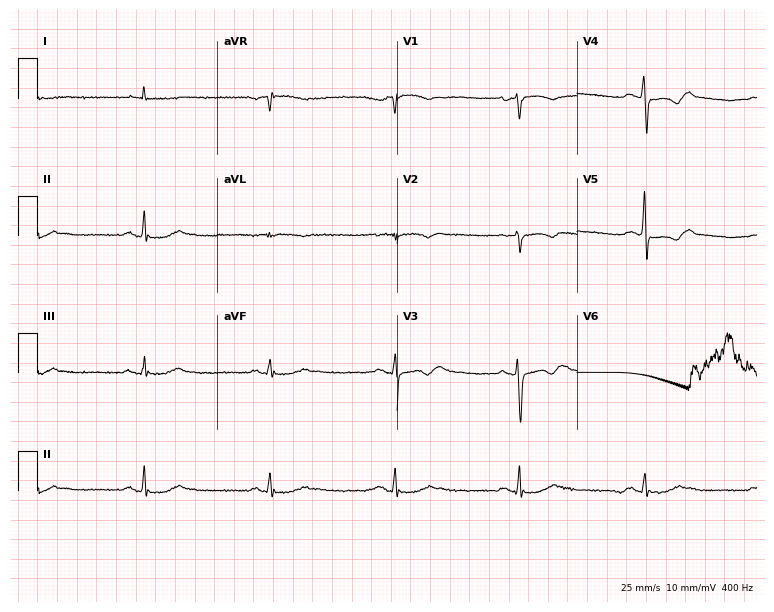
12-lead ECG from a 74-year-old male patient. No first-degree AV block, right bundle branch block, left bundle branch block, sinus bradycardia, atrial fibrillation or sinus tachycardia recorded for this tracing. Other findings, if any, are not listed.